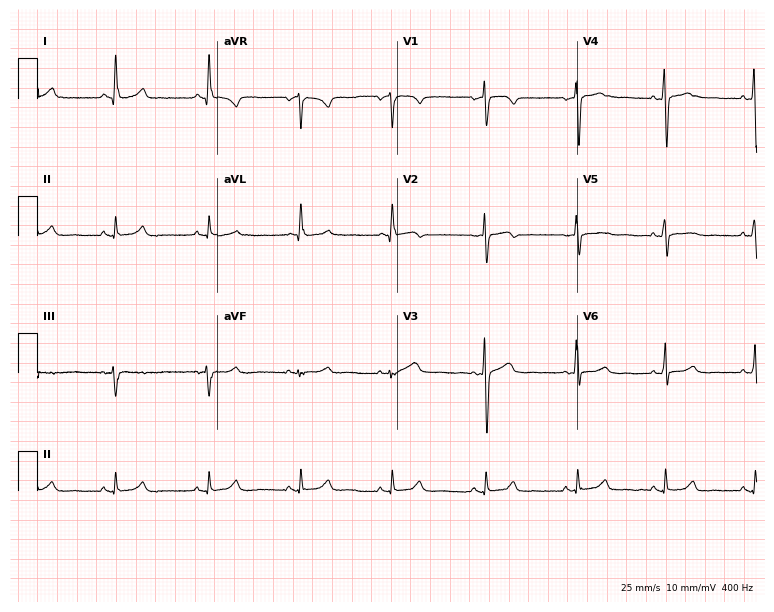
12-lead ECG from a 50-year-old female patient (7.3-second recording at 400 Hz). No first-degree AV block, right bundle branch block, left bundle branch block, sinus bradycardia, atrial fibrillation or sinus tachycardia recorded for this tracing.